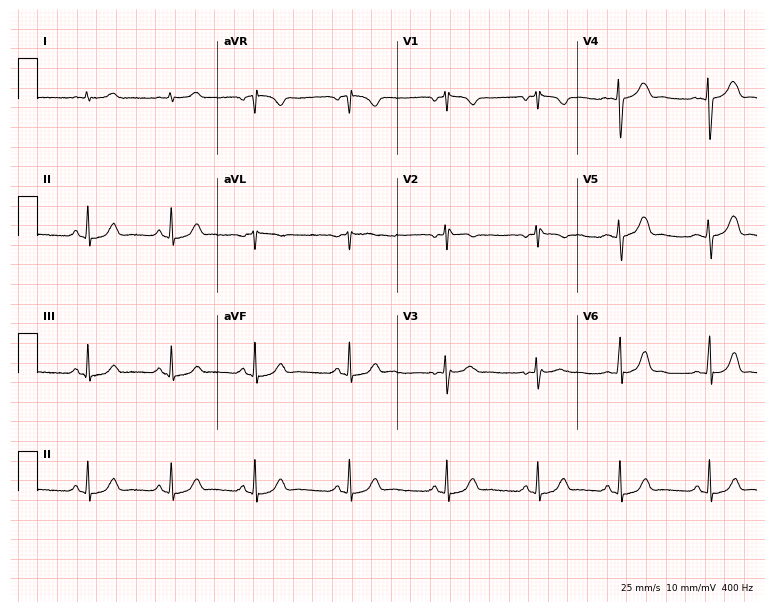
12-lead ECG from a female, 21 years old. No first-degree AV block, right bundle branch block (RBBB), left bundle branch block (LBBB), sinus bradycardia, atrial fibrillation (AF) or sinus tachycardia recorded for this tracing.